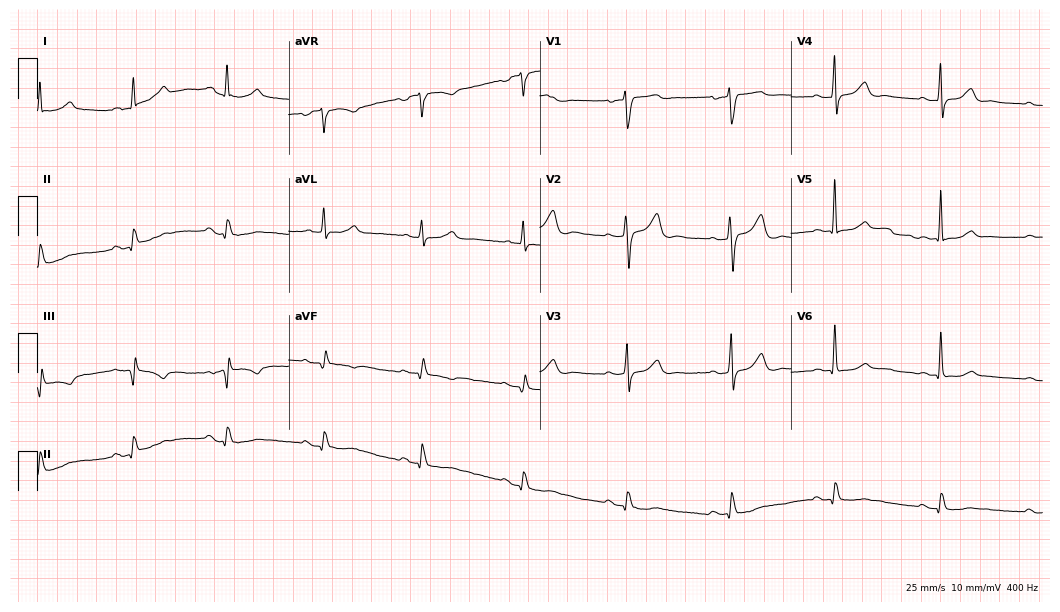
Electrocardiogram, a man, 71 years old. Overall reading on record: normal ECG.